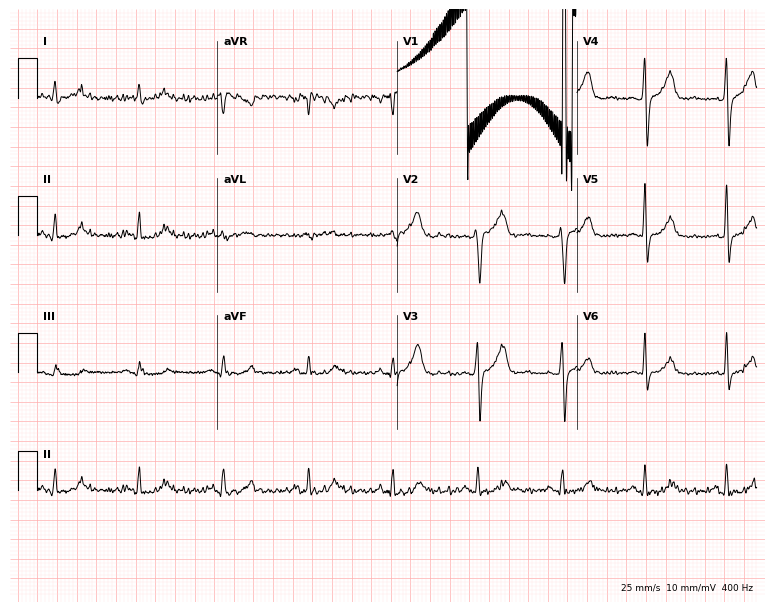
Electrocardiogram (7.3-second recording at 400 Hz), a male patient, 57 years old. Of the six screened findings (first-degree AV block, right bundle branch block (RBBB), left bundle branch block (LBBB), sinus bradycardia, atrial fibrillation (AF), sinus tachycardia), none is recorded. Only these six findings were labelled.